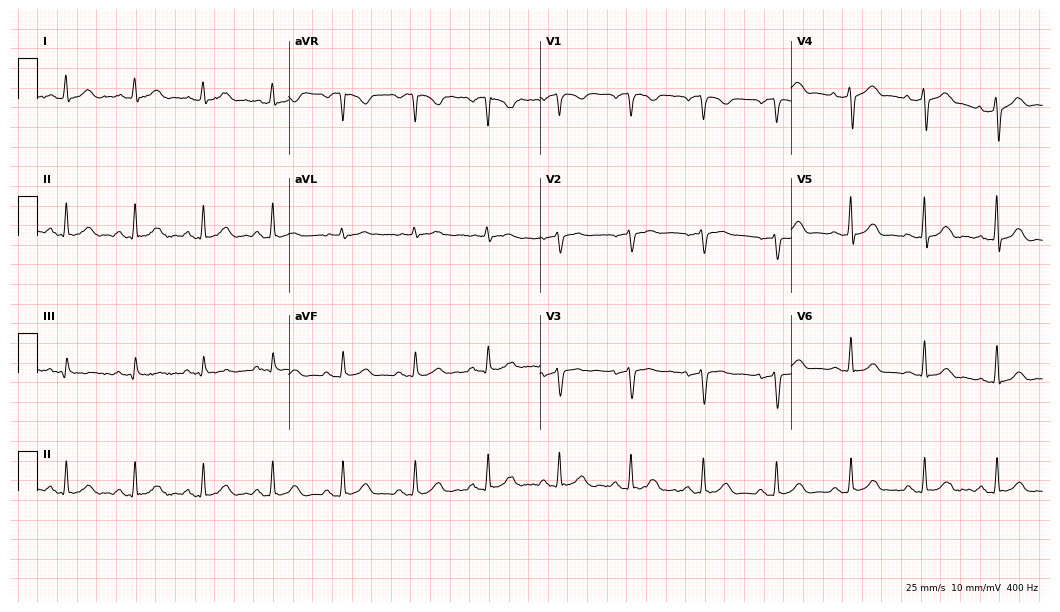
12-lead ECG from a female patient, 66 years old. Recorded interpretation: within normal limits.